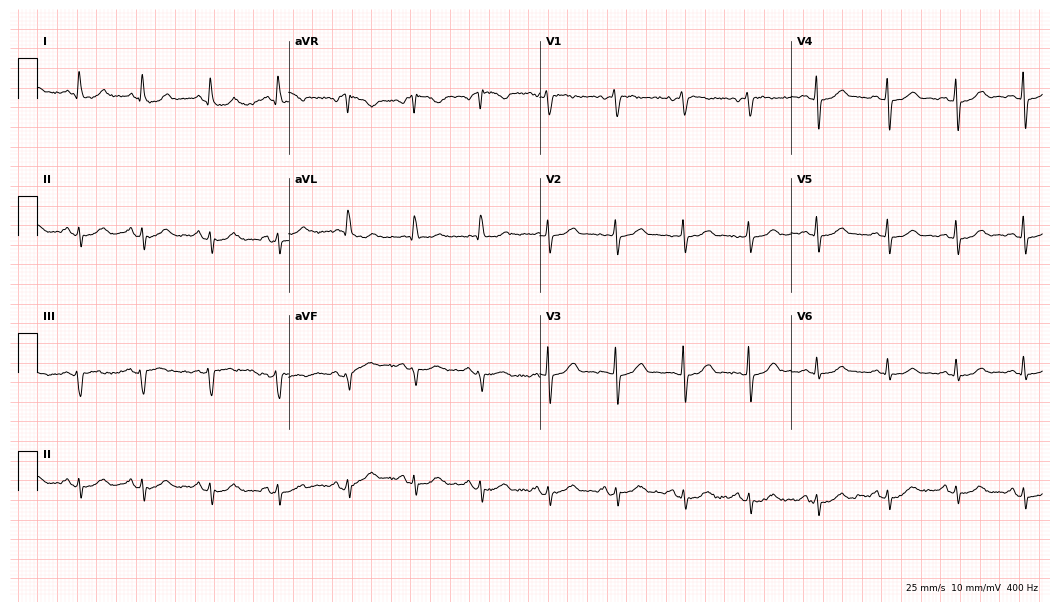
ECG — a female, 57 years old. Screened for six findings — first-degree AV block, right bundle branch block (RBBB), left bundle branch block (LBBB), sinus bradycardia, atrial fibrillation (AF), sinus tachycardia — none is recorded. Other findings, if any, are not listed.